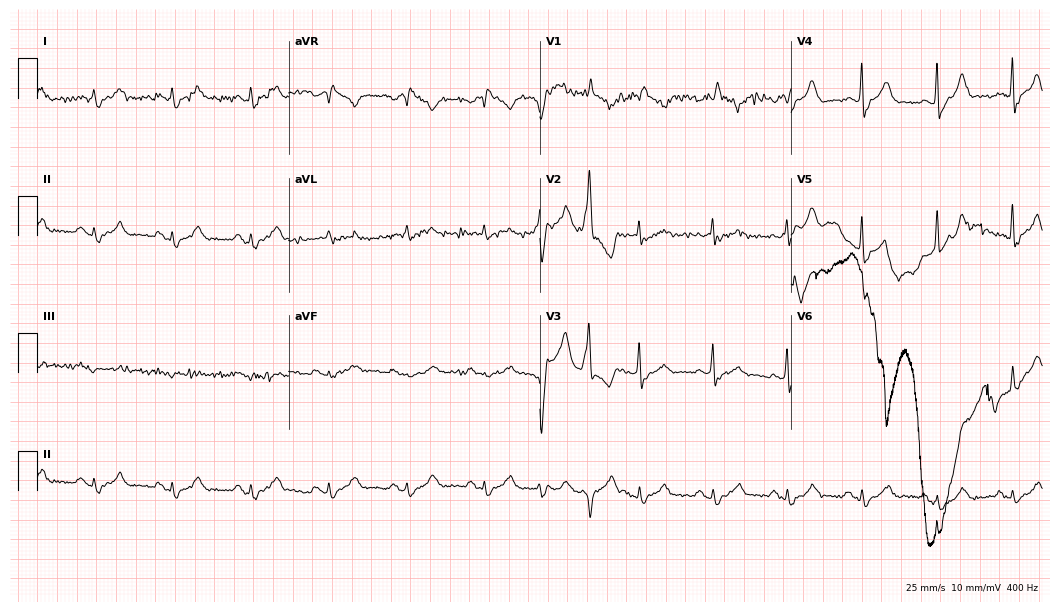
12-lead ECG from a male patient, 85 years old (10.2-second recording at 400 Hz). No first-degree AV block, right bundle branch block, left bundle branch block, sinus bradycardia, atrial fibrillation or sinus tachycardia recorded for this tracing.